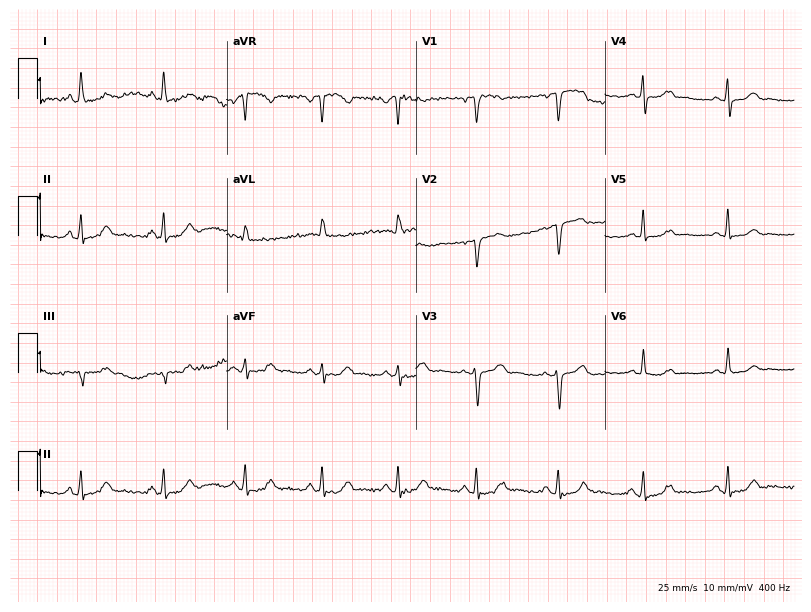
Standard 12-lead ECG recorded from a woman, 52 years old. None of these six findings is recorded: first-degree AV block, right bundle branch block, left bundle branch block, sinus bradycardia, atrial fibrillation, sinus tachycardia. Only these six findings were labelled.